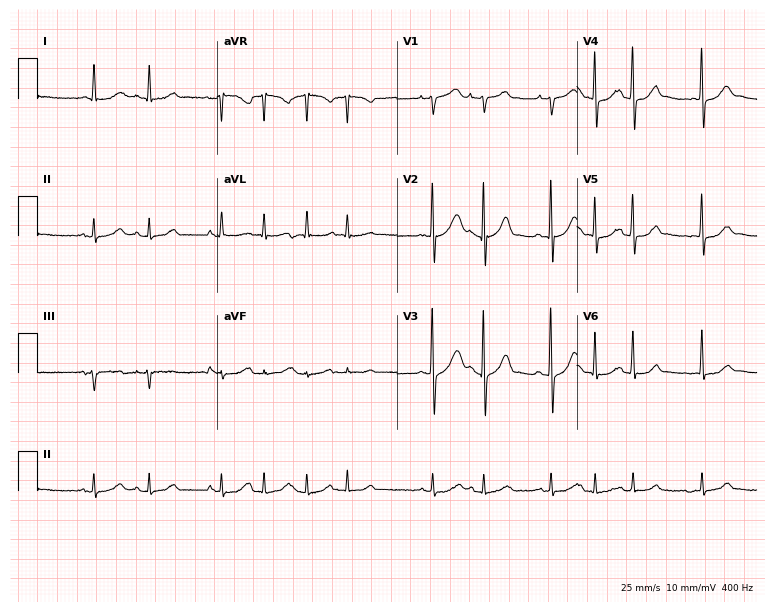
12-lead ECG from an 82-year-old man. Shows sinus tachycardia (a sinus rate of 100 beats per minute or more).